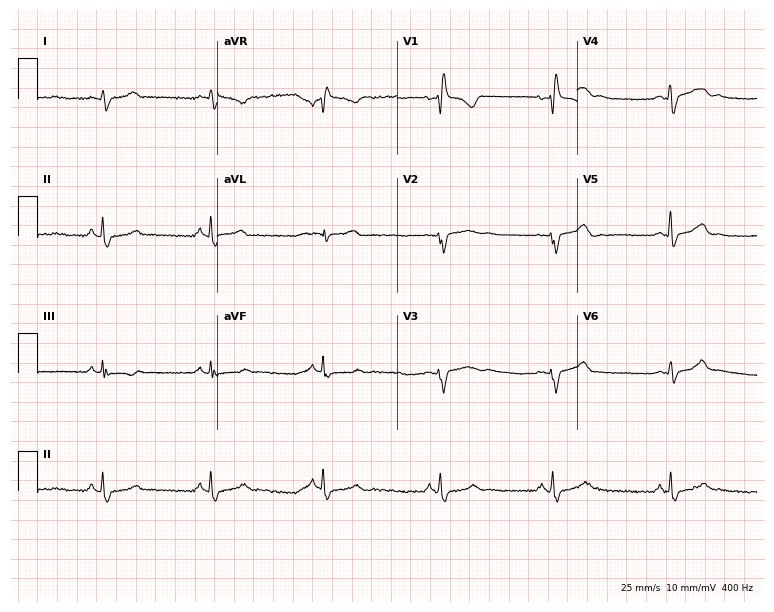
Resting 12-lead electrocardiogram (7.3-second recording at 400 Hz). Patient: a 39-year-old female. The tracing shows right bundle branch block.